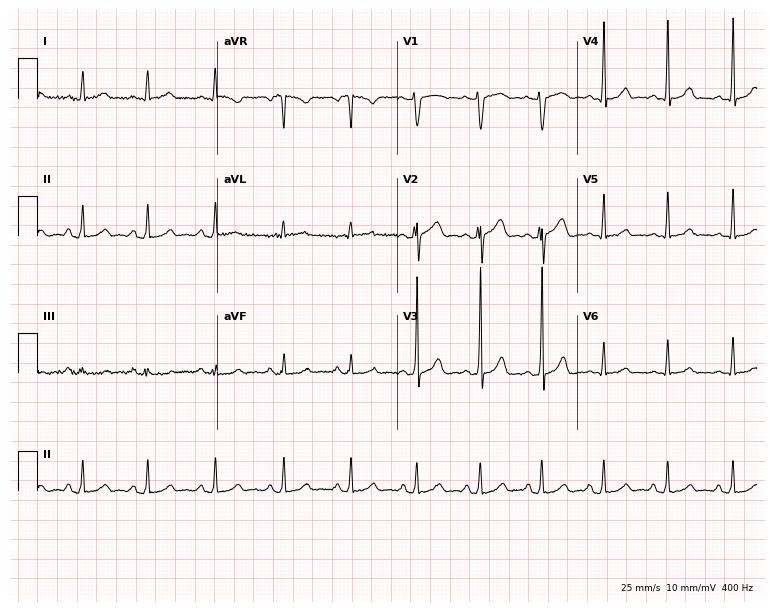
Resting 12-lead electrocardiogram. Patient: a male, 27 years old. Read as a normal ECG.